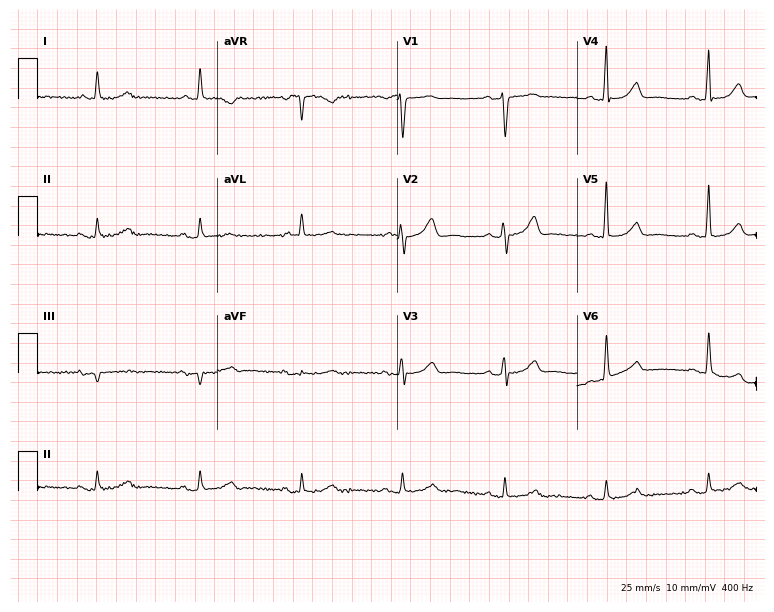
ECG (7.3-second recording at 400 Hz) — a woman, 75 years old. Screened for six findings — first-degree AV block, right bundle branch block, left bundle branch block, sinus bradycardia, atrial fibrillation, sinus tachycardia — none is recorded.